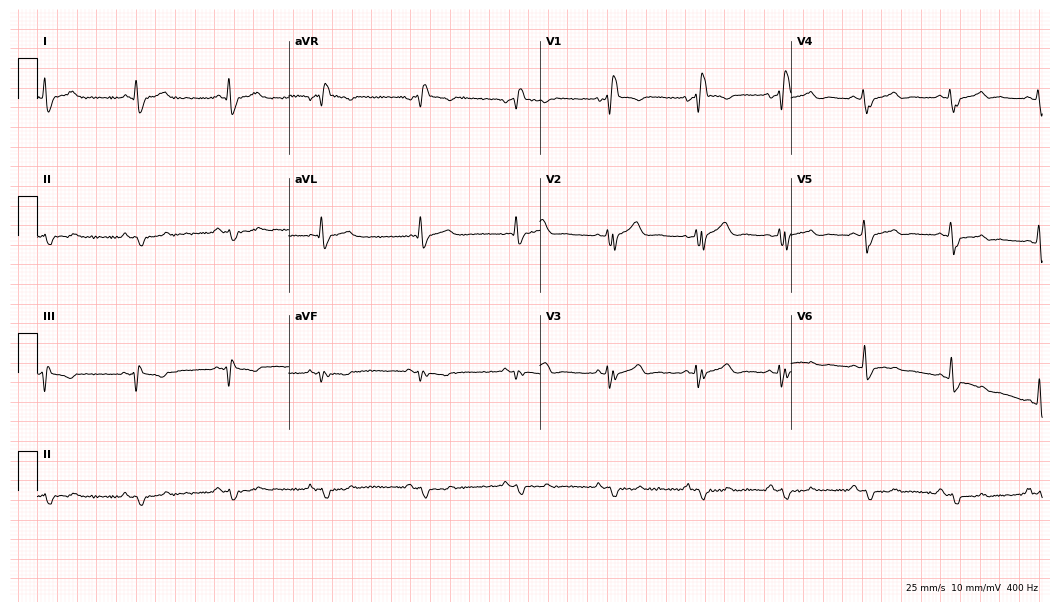
12-lead ECG from a male, 45 years old. Findings include right bundle branch block.